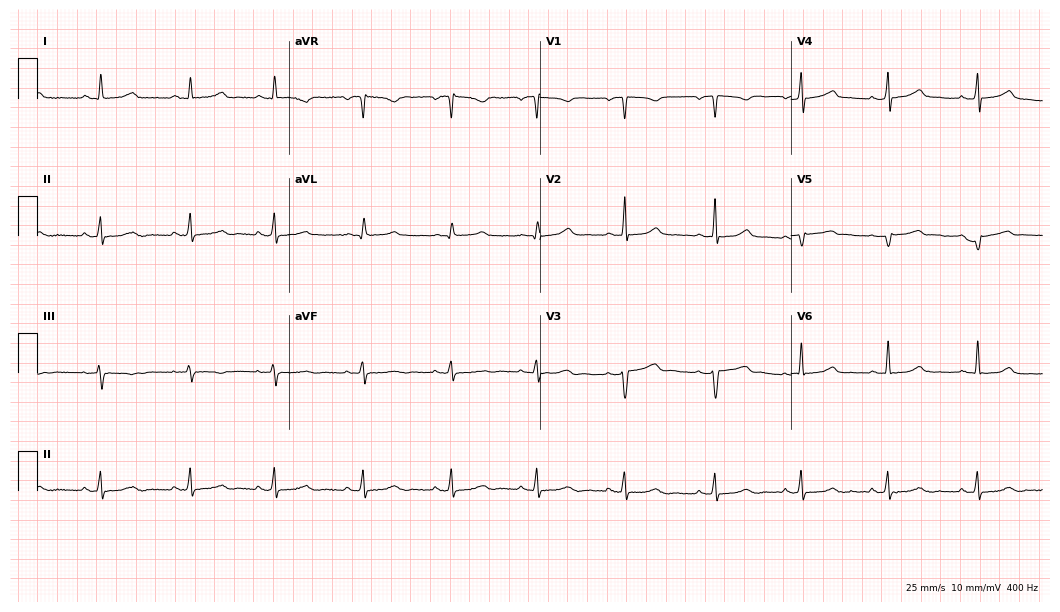
Standard 12-lead ECG recorded from a 41-year-old female (10.2-second recording at 400 Hz). None of these six findings is recorded: first-degree AV block, right bundle branch block (RBBB), left bundle branch block (LBBB), sinus bradycardia, atrial fibrillation (AF), sinus tachycardia. Other findings, if any, are not listed.